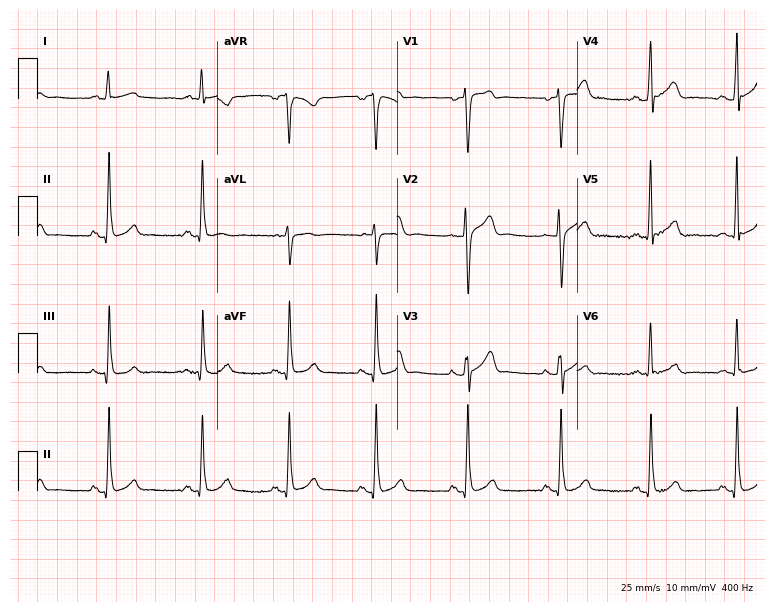
12-lead ECG from a male patient, 66 years old. Recorded interpretation: within normal limits.